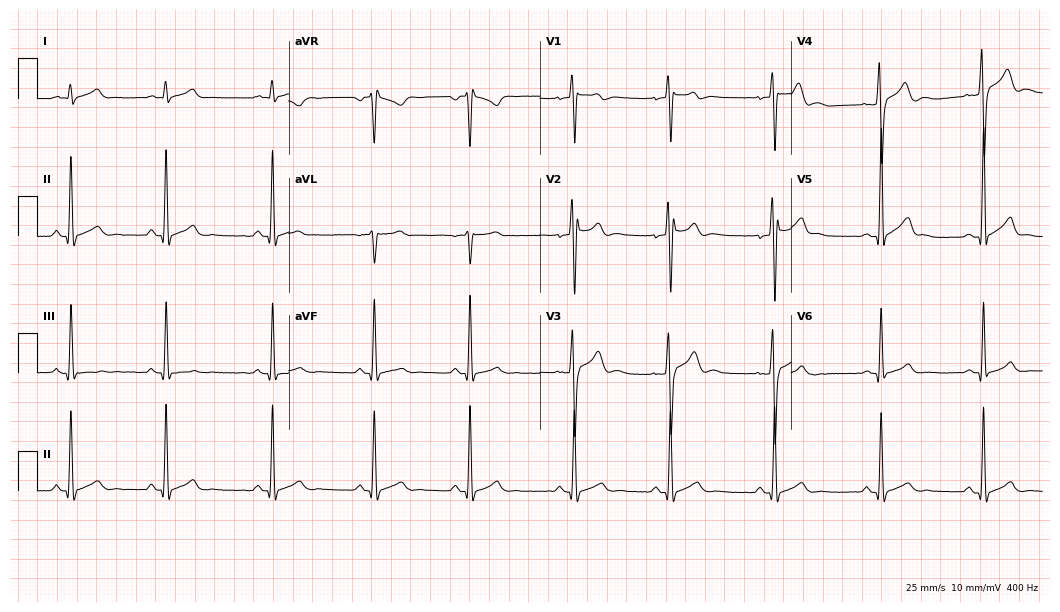
12-lead ECG (10.2-second recording at 400 Hz) from a 23-year-old man. Screened for six findings — first-degree AV block, right bundle branch block (RBBB), left bundle branch block (LBBB), sinus bradycardia, atrial fibrillation (AF), sinus tachycardia — none is recorded. Findings outside these six are not listed.